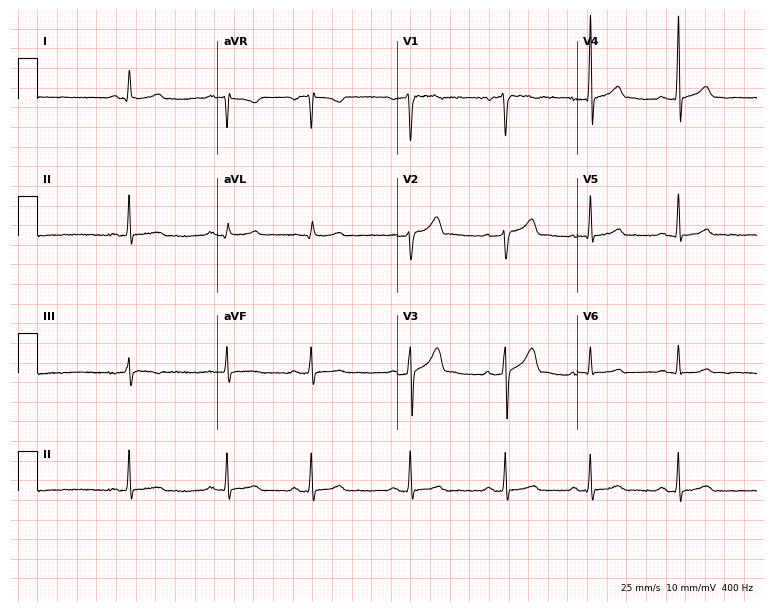
Electrocardiogram (7.3-second recording at 400 Hz), a man, 30 years old. Of the six screened findings (first-degree AV block, right bundle branch block, left bundle branch block, sinus bradycardia, atrial fibrillation, sinus tachycardia), none is recorded.